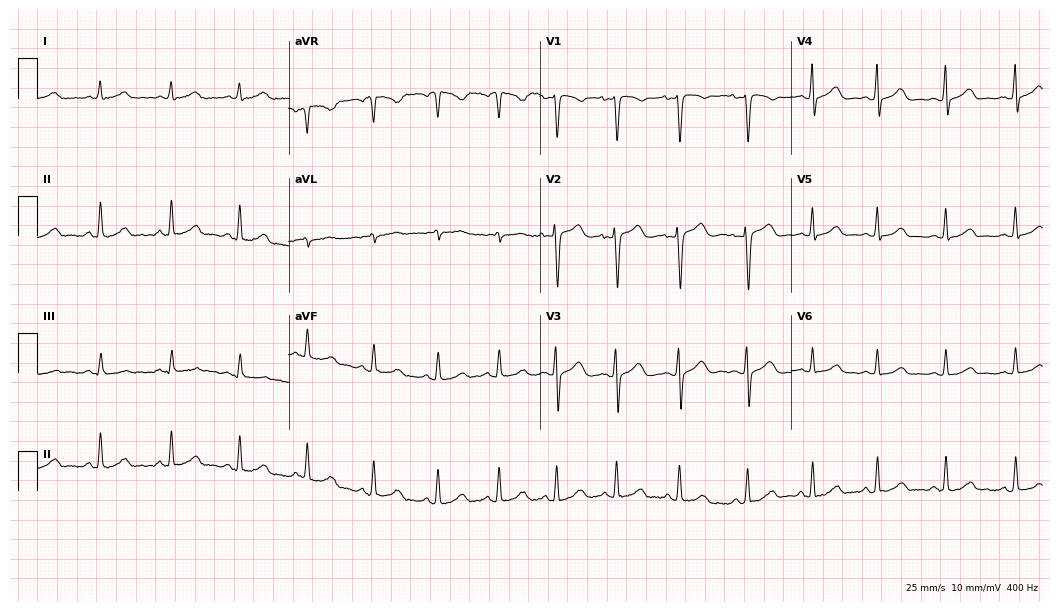
Electrocardiogram (10.2-second recording at 400 Hz), a 23-year-old woman. Of the six screened findings (first-degree AV block, right bundle branch block, left bundle branch block, sinus bradycardia, atrial fibrillation, sinus tachycardia), none is recorded. Other findings, if any, are not listed.